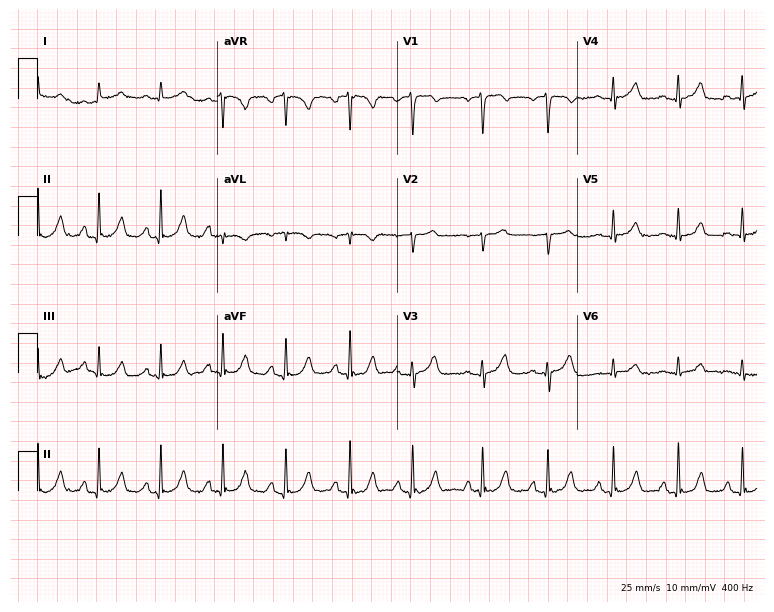
Standard 12-lead ECG recorded from an 80-year-old male patient (7.3-second recording at 400 Hz). Read as a normal ECG.